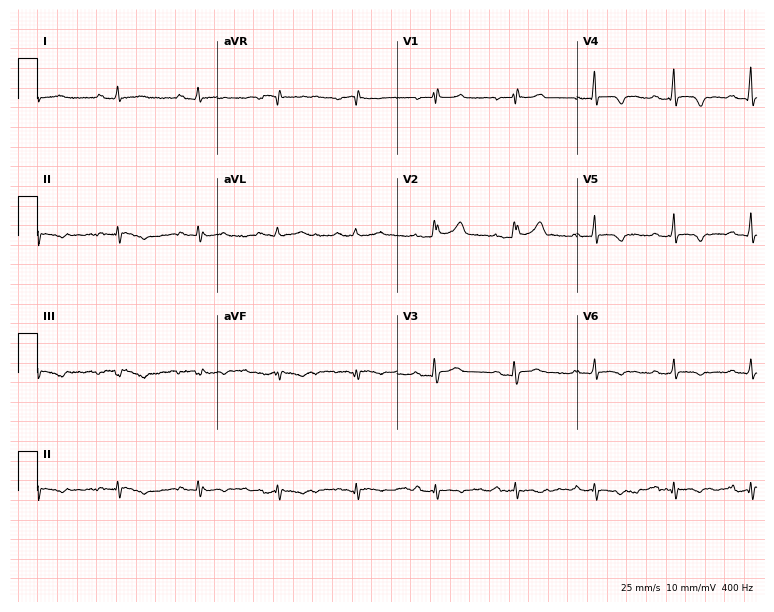
ECG (7.3-second recording at 400 Hz) — a 44-year-old female patient. Screened for six findings — first-degree AV block, right bundle branch block, left bundle branch block, sinus bradycardia, atrial fibrillation, sinus tachycardia — none is recorded.